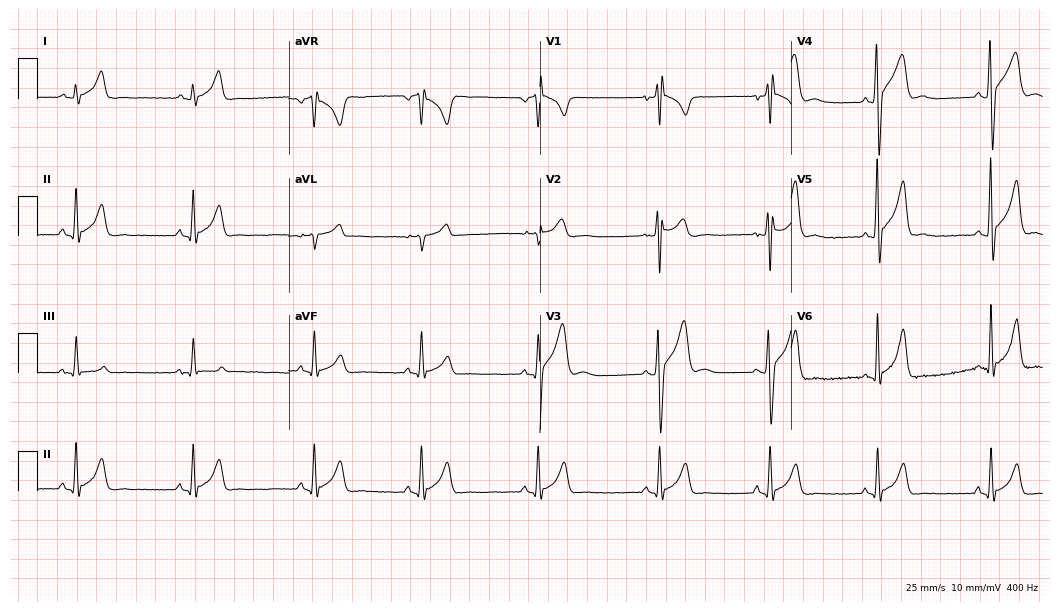
Standard 12-lead ECG recorded from a 21-year-old male patient. None of these six findings is recorded: first-degree AV block, right bundle branch block (RBBB), left bundle branch block (LBBB), sinus bradycardia, atrial fibrillation (AF), sinus tachycardia. Only these six findings were labelled.